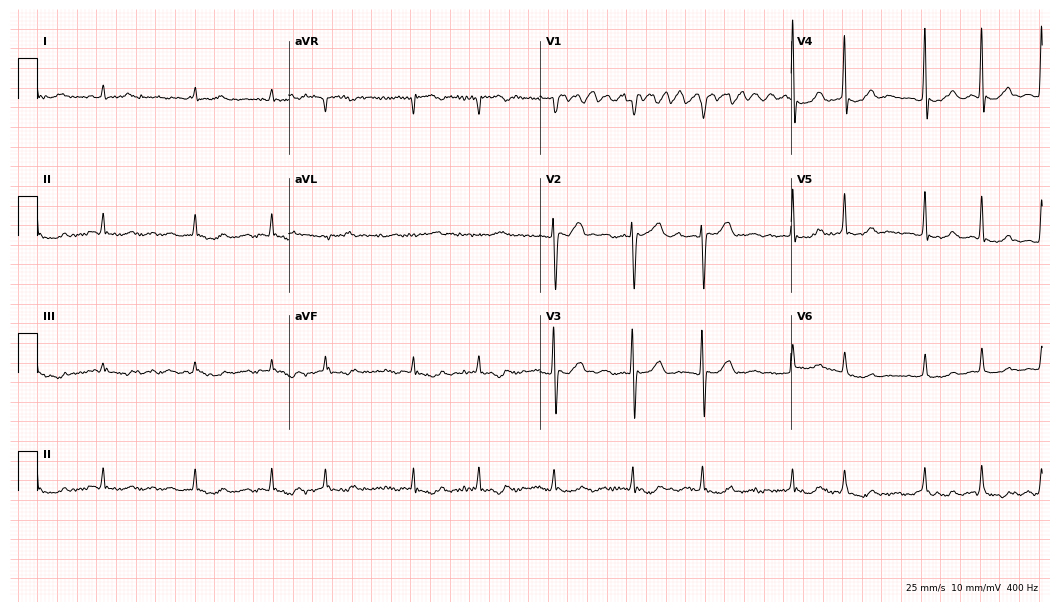
12-lead ECG from a 75-year-old female patient. Findings include atrial fibrillation.